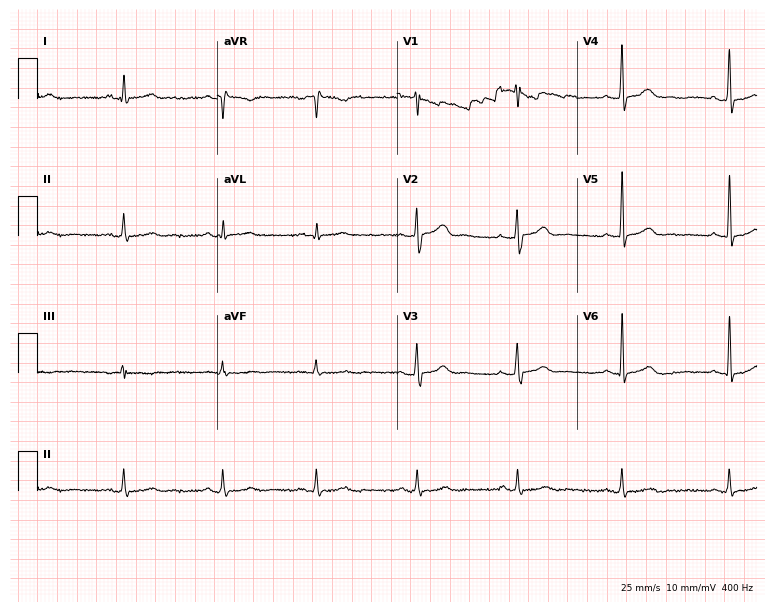
12-lead ECG from a woman, 44 years old (7.3-second recording at 400 Hz). Recorded interpretation: within normal limits.